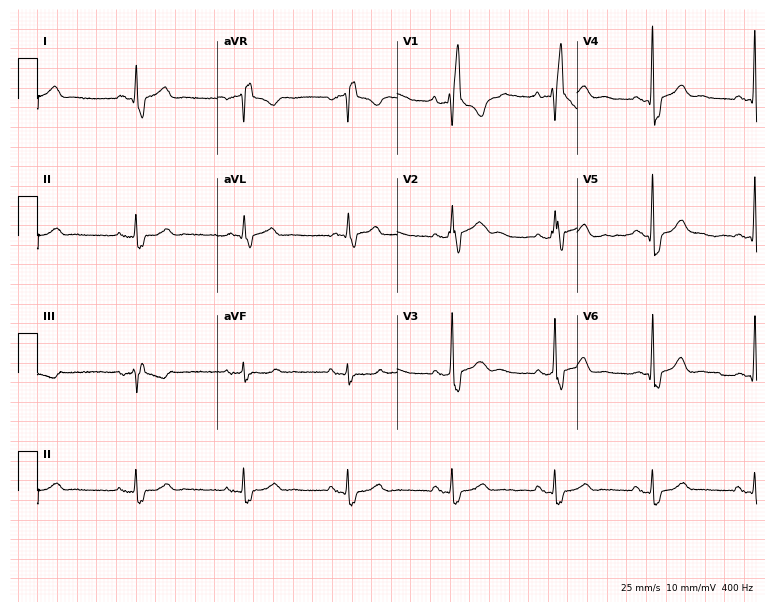
Standard 12-lead ECG recorded from a male, 75 years old (7.3-second recording at 400 Hz). The tracing shows right bundle branch block (RBBB).